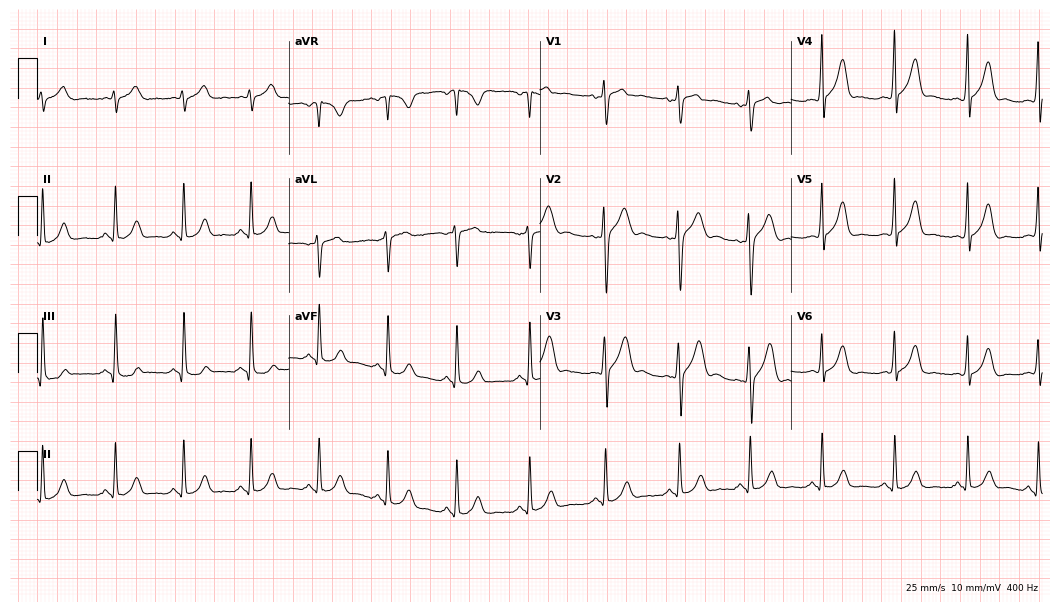
ECG — a man, 26 years old. Labelled as a normal ECG.